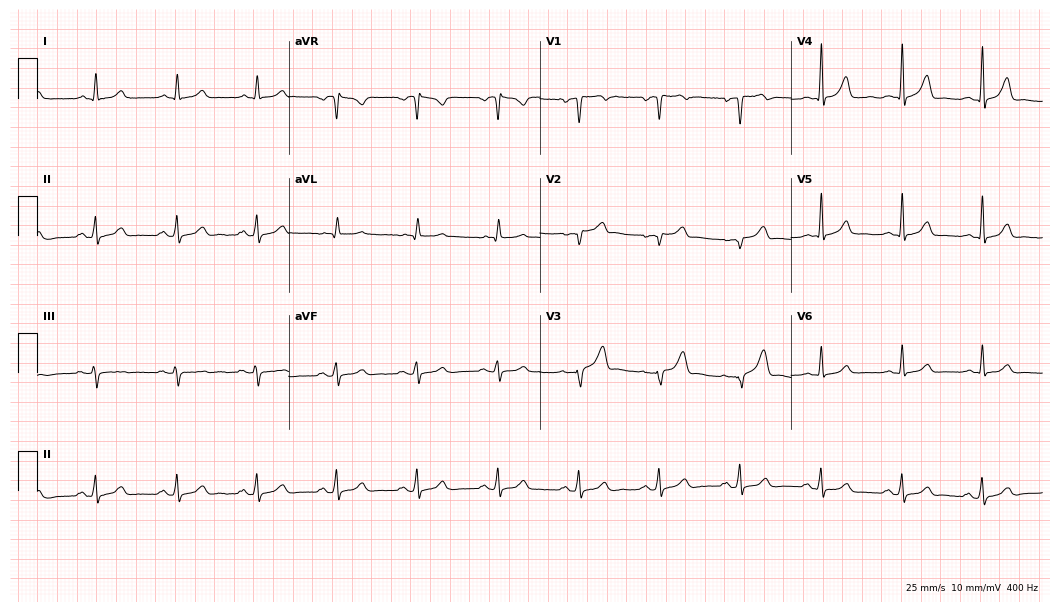
12-lead ECG from a man, 62 years old. No first-degree AV block, right bundle branch block, left bundle branch block, sinus bradycardia, atrial fibrillation or sinus tachycardia recorded for this tracing. Findings outside these six are not listed.